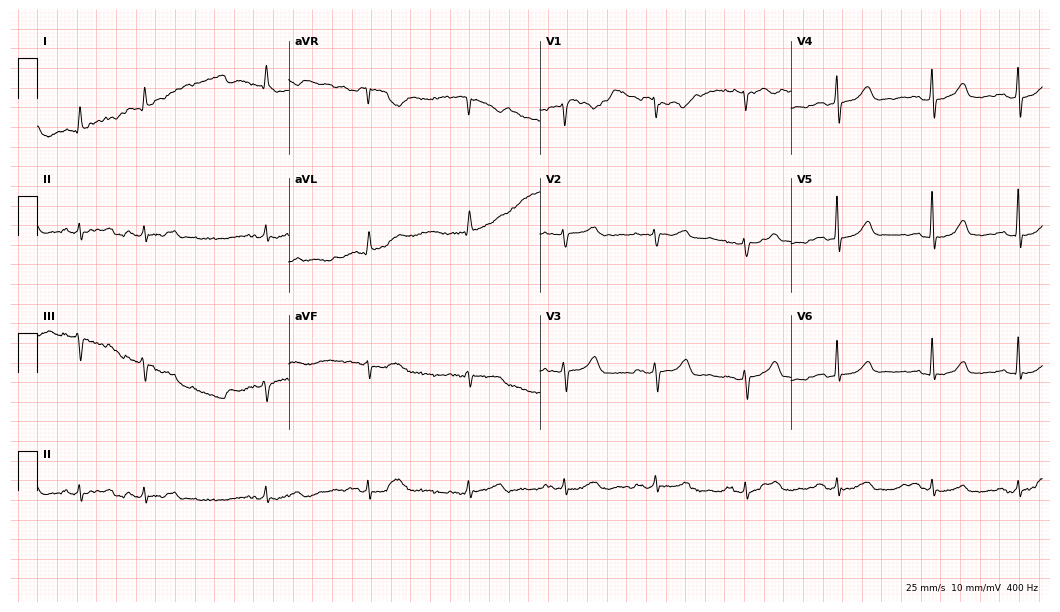
Standard 12-lead ECG recorded from a 79-year-old woman. None of these six findings is recorded: first-degree AV block, right bundle branch block, left bundle branch block, sinus bradycardia, atrial fibrillation, sinus tachycardia.